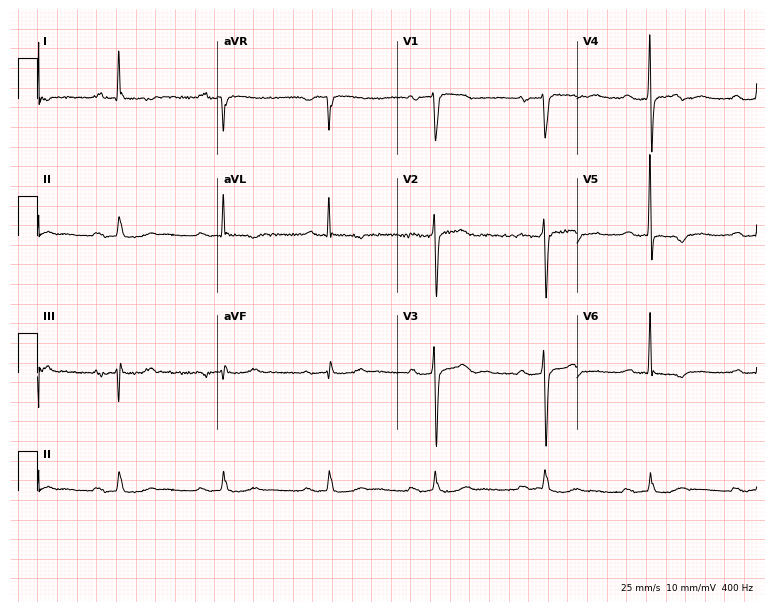
Resting 12-lead electrocardiogram. Patient: a male, 78 years old. The tracing shows first-degree AV block.